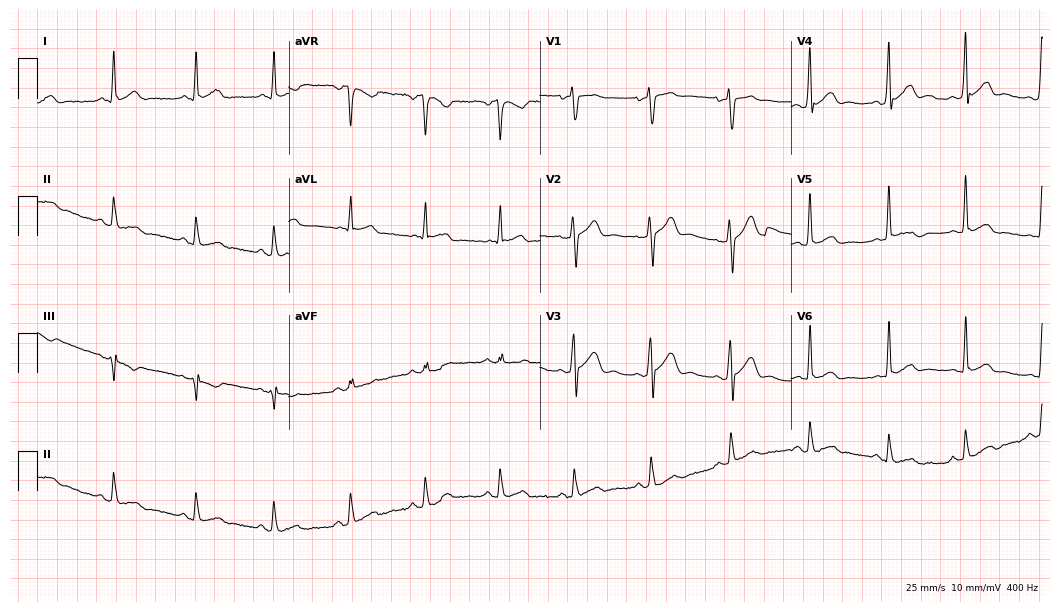
Resting 12-lead electrocardiogram (10.2-second recording at 400 Hz). Patient: a male, 42 years old. Read as a normal ECG.